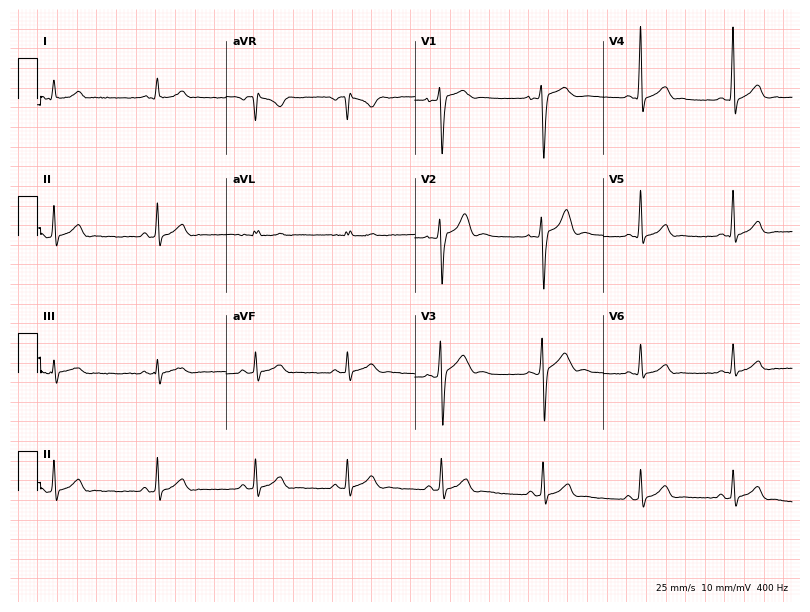
Electrocardiogram (7.7-second recording at 400 Hz), a 17-year-old male. Overall reading on record: normal ECG.